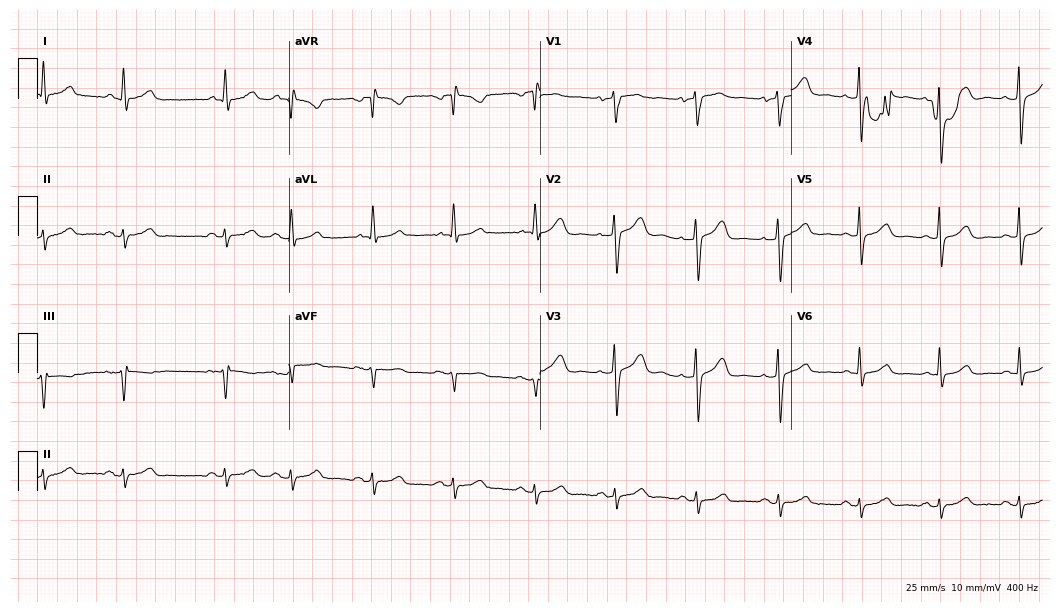
ECG — a female, 67 years old. Screened for six findings — first-degree AV block, right bundle branch block (RBBB), left bundle branch block (LBBB), sinus bradycardia, atrial fibrillation (AF), sinus tachycardia — none is recorded. Only these six findings were labelled.